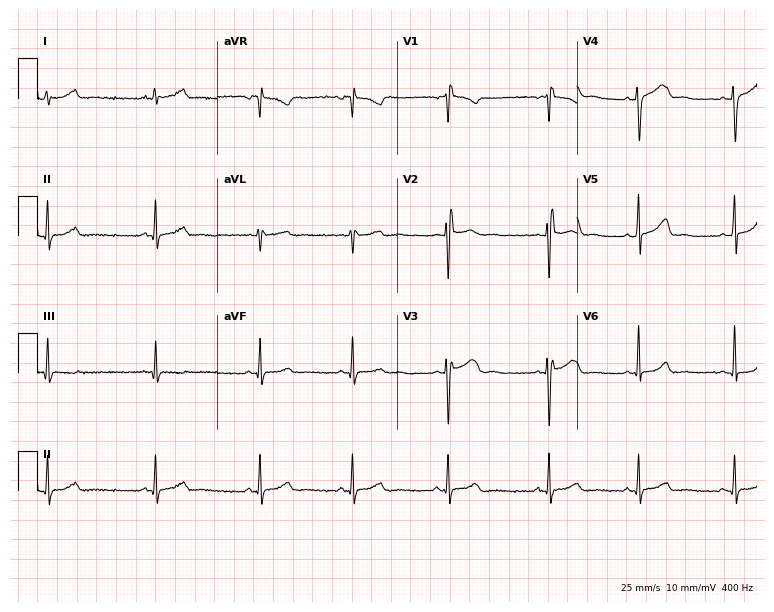
12-lead ECG from a female, 20 years old. Recorded interpretation: within normal limits.